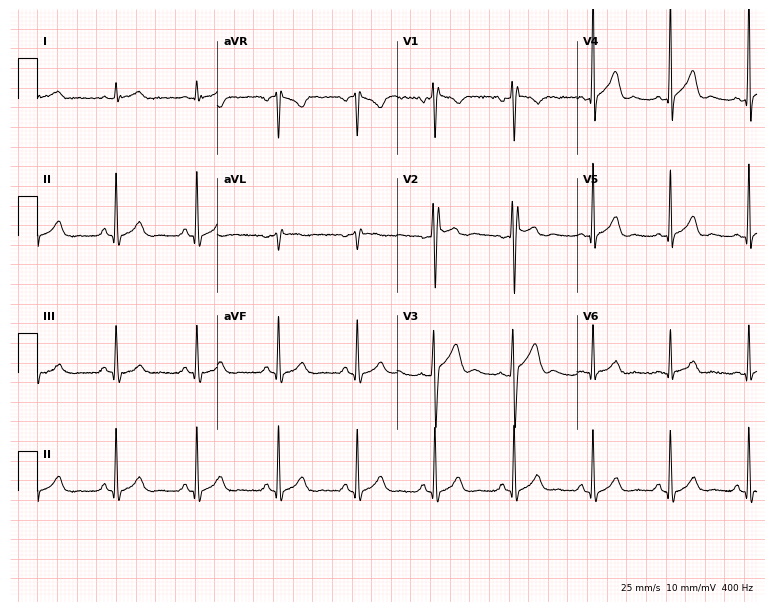
ECG — a male patient, 37 years old. Labelled as a normal ECG.